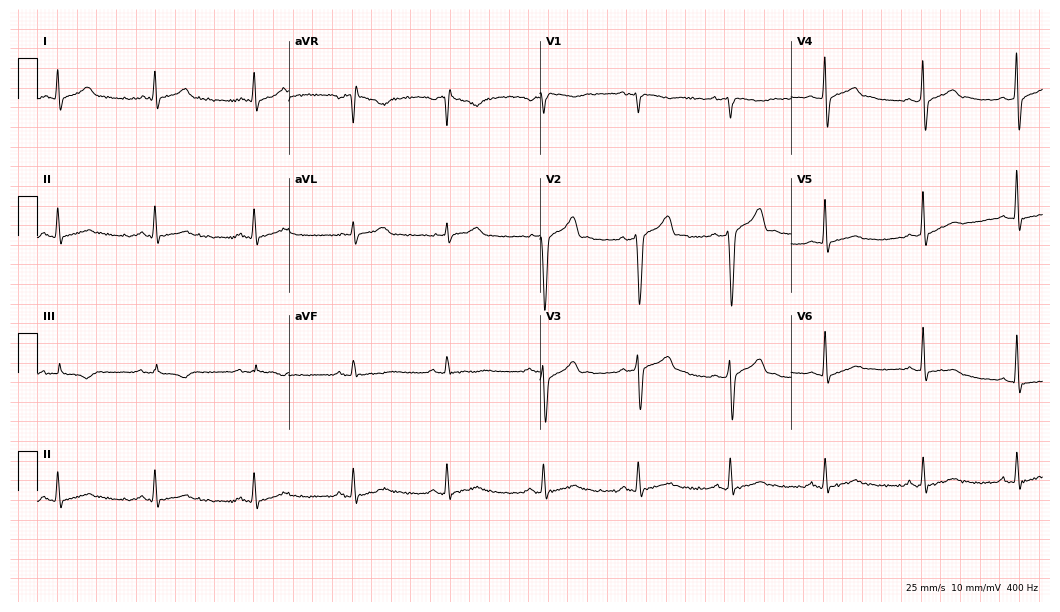
12-lead ECG from a 44-year-old male patient. Screened for six findings — first-degree AV block, right bundle branch block, left bundle branch block, sinus bradycardia, atrial fibrillation, sinus tachycardia — none is recorded.